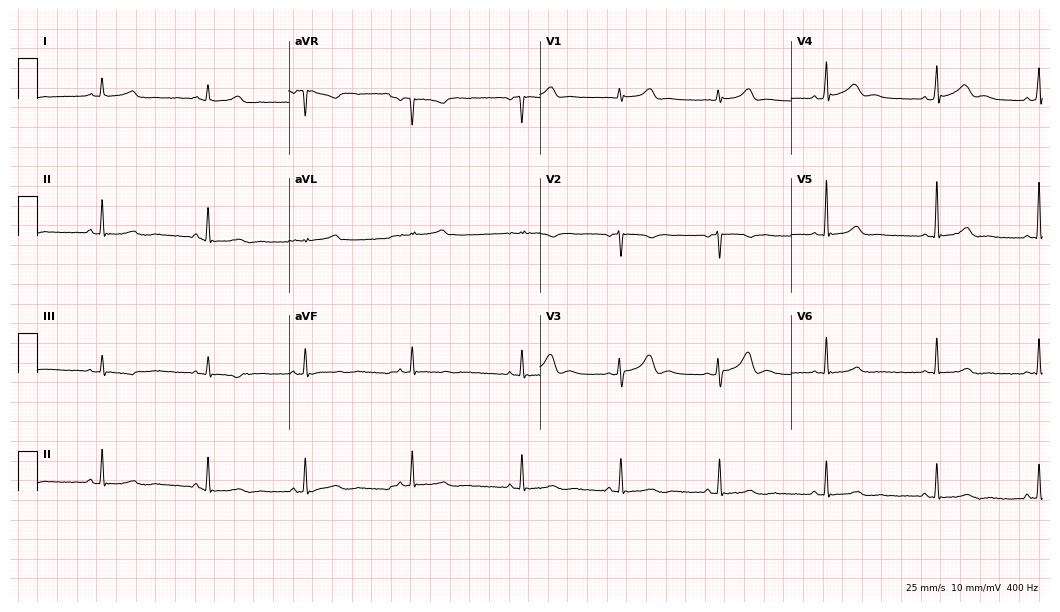
12-lead ECG from a 32-year-old female. Labelled as a normal ECG.